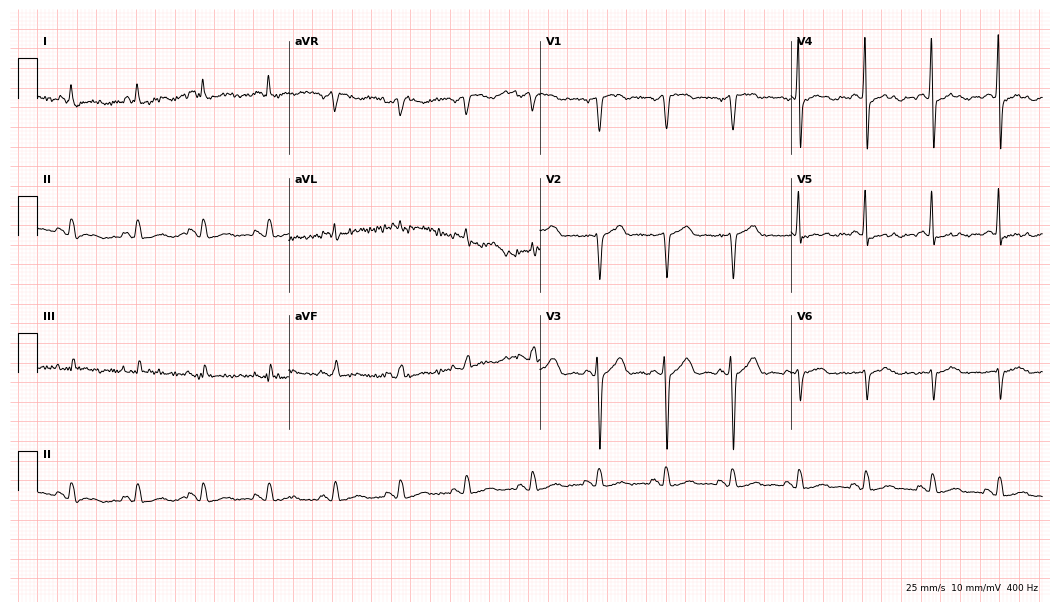
12-lead ECG from a 66-year-old male. Screened for six findings — first-degree AV block, right bundle branch block, left bundle branch block, sinus bradycardia, atrial fibrillation, sinus tachycardia — none is recorded. Other findings, if any, are not listed.